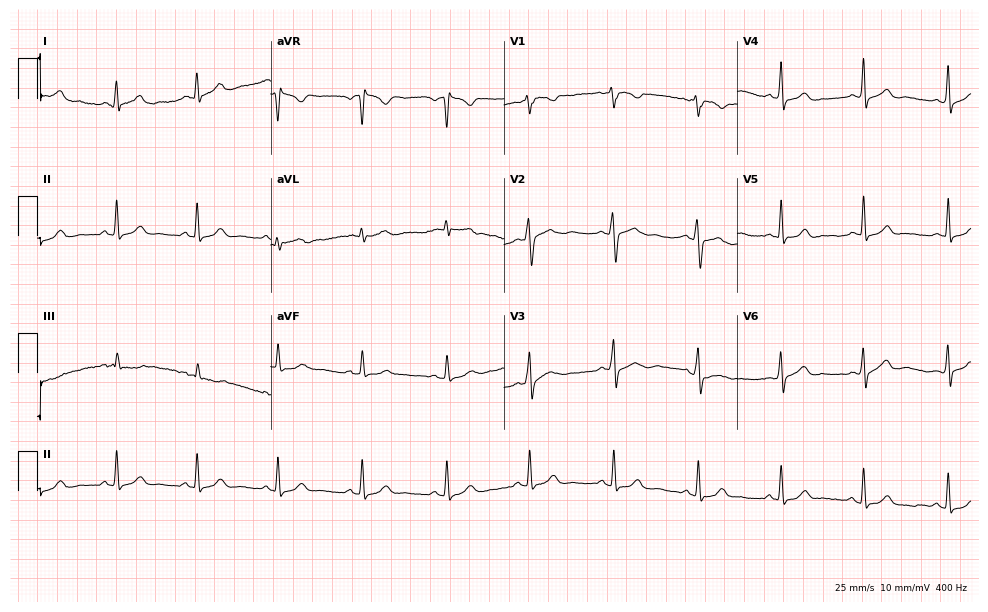
Resting 12-lead electrocardiogram (9.5-second recording at 400 Hz). Patient: a 39-year-old female. Read as a normal ECG.